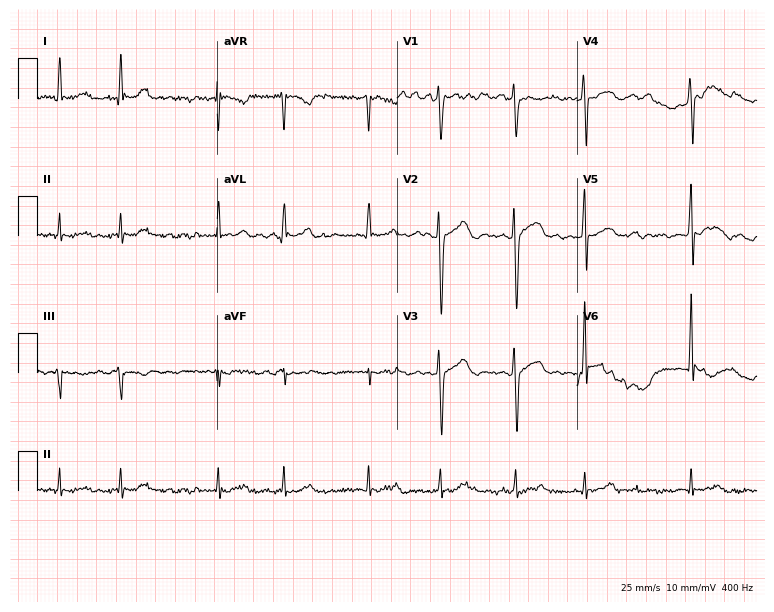
Standard 12-lead ECG recorded from a 40-year-old man. The tracing shows atrial fibrillation.